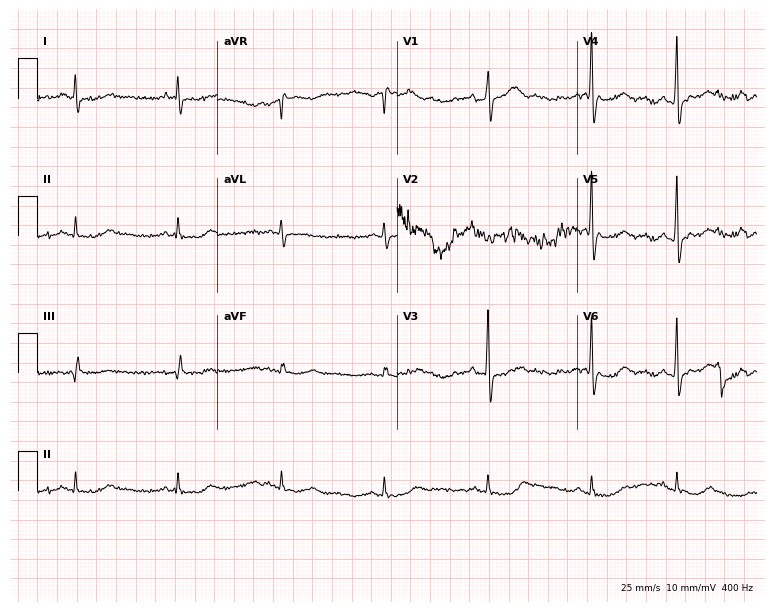
Electrocardiogram (7.3-second recording at 400 Hz), a man, 64 years old. Of the six screened findings (first-degree AV block, right bundle branch block (RBBB), left bundle branch block (LBBB), sinus bradycardia, atrial fibrillation (AF), sinus tachycardia), none is recorded.